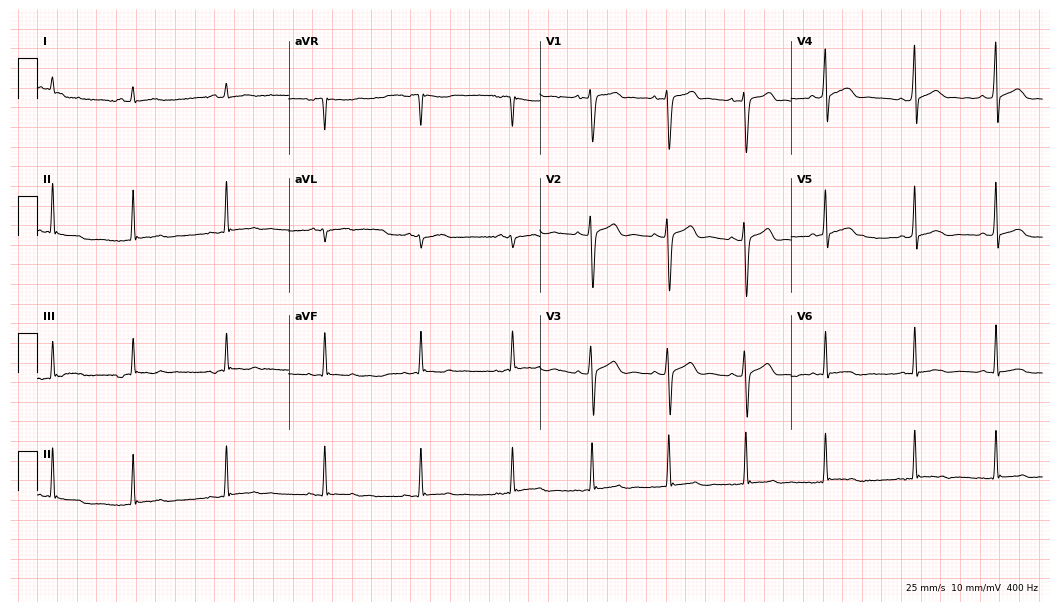
ECG — a 19-year-old male. Screened for six findings — first-degree AV block, right bundle branch block, left bundle branch block, sinus bradycardia, atrial fibrillation, sinus tachycardia — none is recorded. Findings outside these six are not listed.